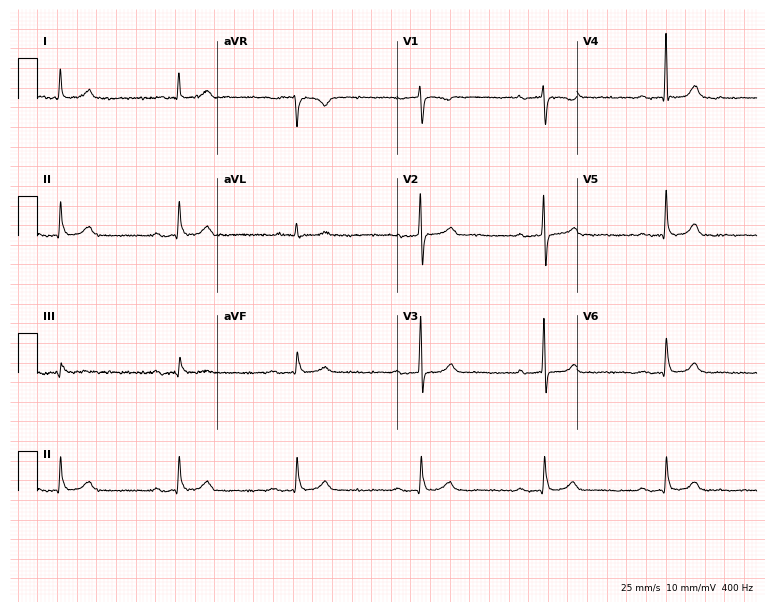
12-lead ECG from a 76-year-old woman. Findings include first-degree AV block, sinus bradycardia (a sinus rate of 50 beats per minute or less).